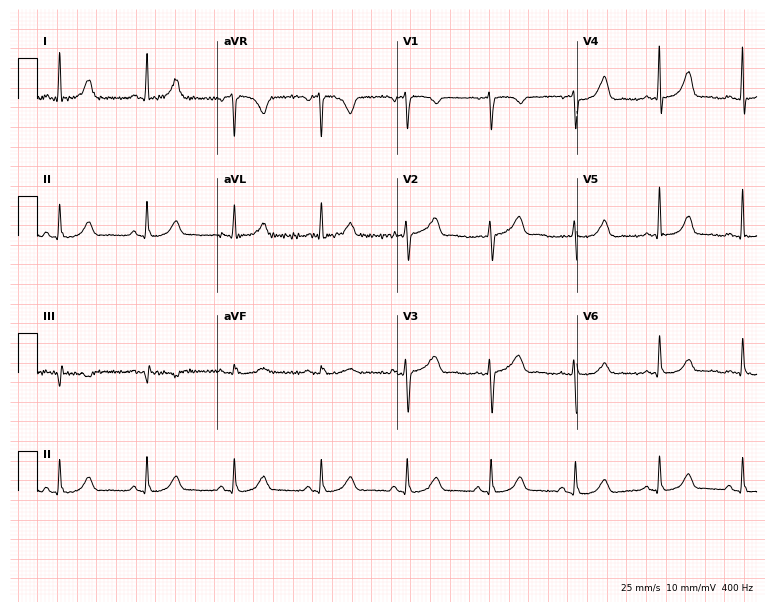
Standard 12-lead ECG recorded from a 53-year-old female patient (7.3-second recording at 400 Hz). None of these six findings is recorded: first-degree AV block, right bundle branch block, left bundle branch block, sinus bradycardia, atrial fibrillation, sinus tachycardia.